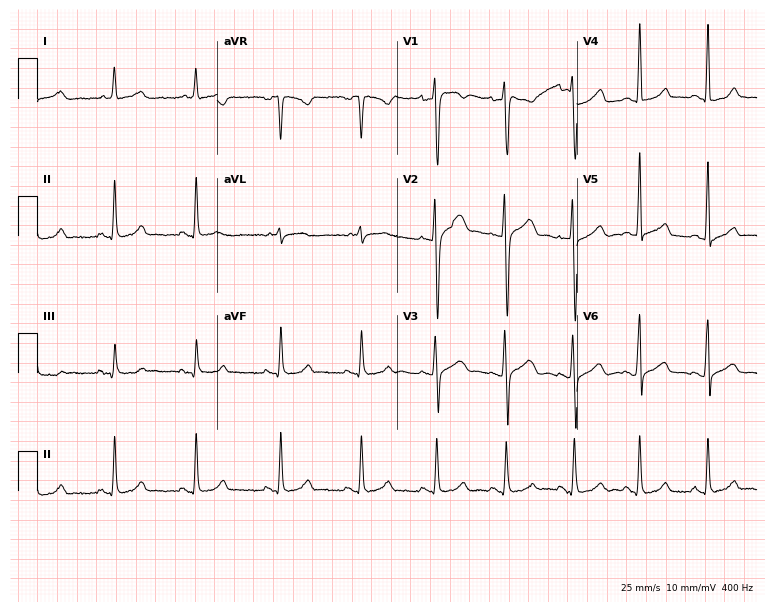
12-lead ECG (7.3-second recording at 400 Hz) from a male patient, 27 years old. Labelled as a normal ECG.